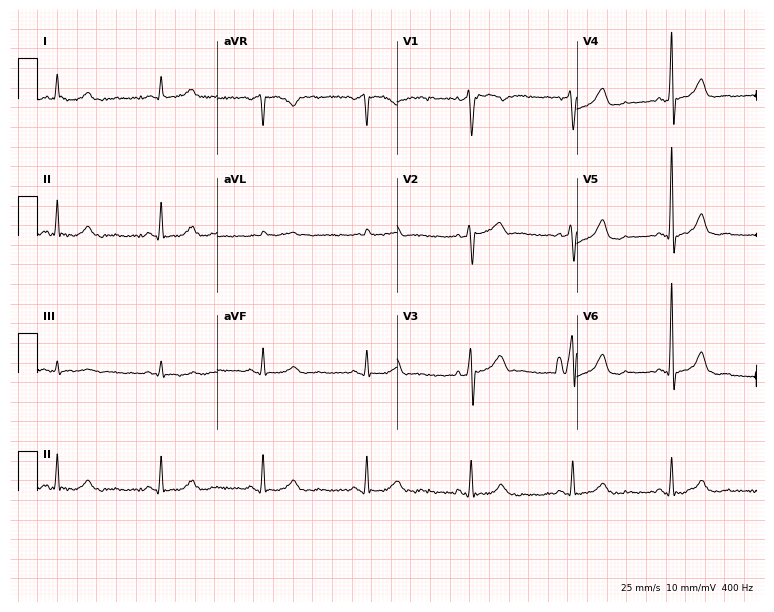
Standard 12-lead ECG recorded from a 64-year-old male. None of these six findings is recorded: first-degree AV block, right bundle branch block, left bundle branch block, sinus bradycardia, atrial fibrillation, sinus tachycardia.